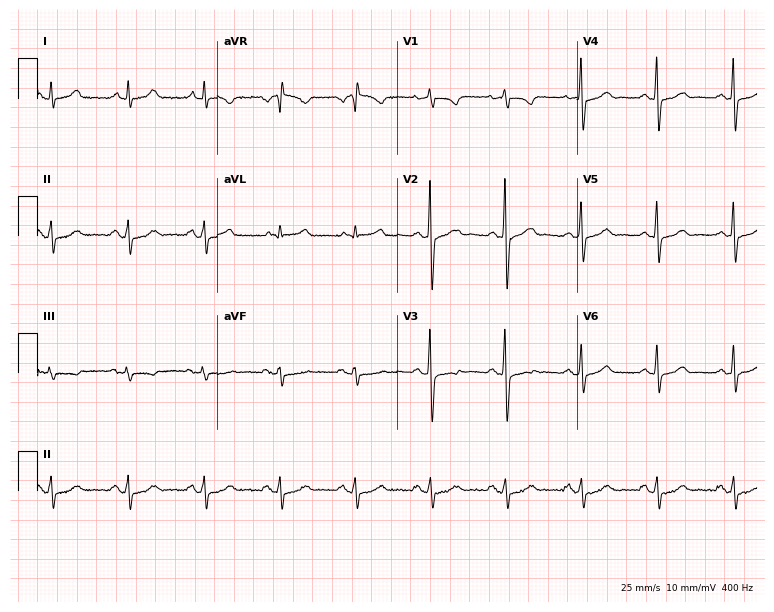
Electrocardiogram, a male patient, 64 years old. Overall reading on record: normal ECG.